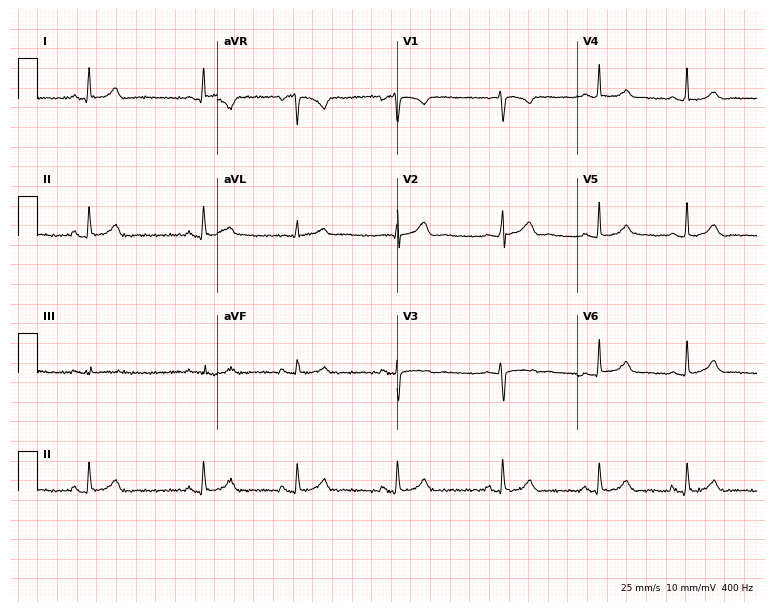
ECG (7.3-second recording at 400 Hz) — a female patient, 20 years old. Labelled as a normal ECG.